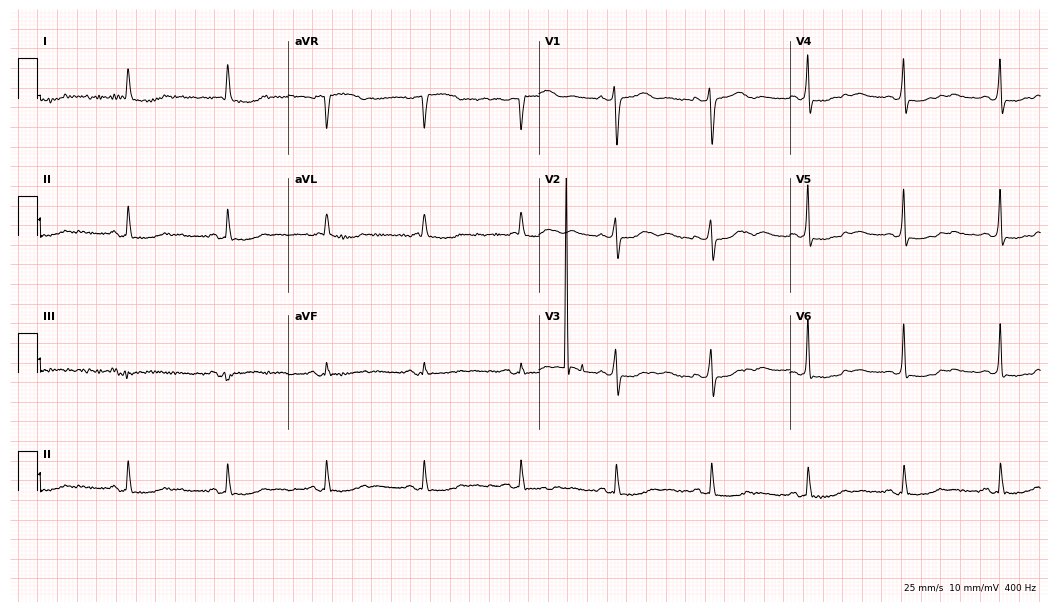
ECG — a woman, 68 years old. Screened for six findings — first-degree AV block, right bundle branch block, left bundle branch block, sinus bradycardia, atrial fibrillation, sinus tachycardia — none is recorded. Findings outside these six are not listed.